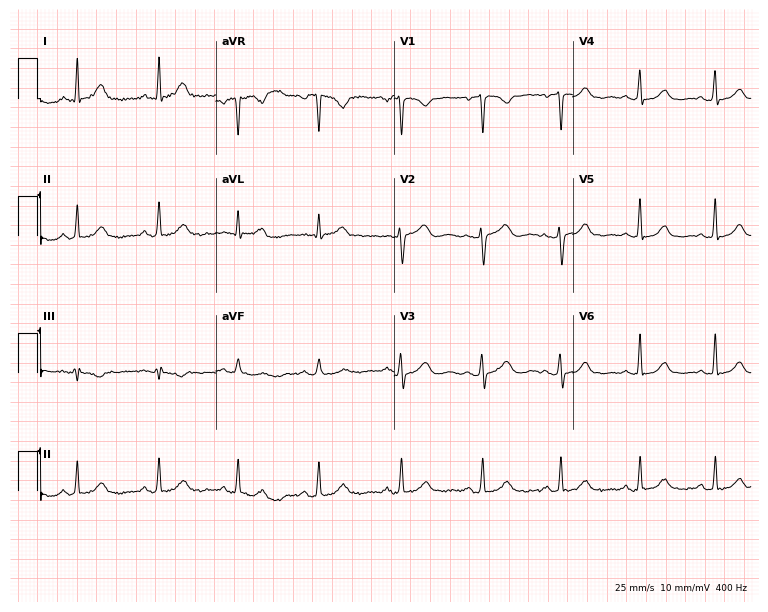
ECG — a woman, 47 years old. Labelled as a normal ECG.